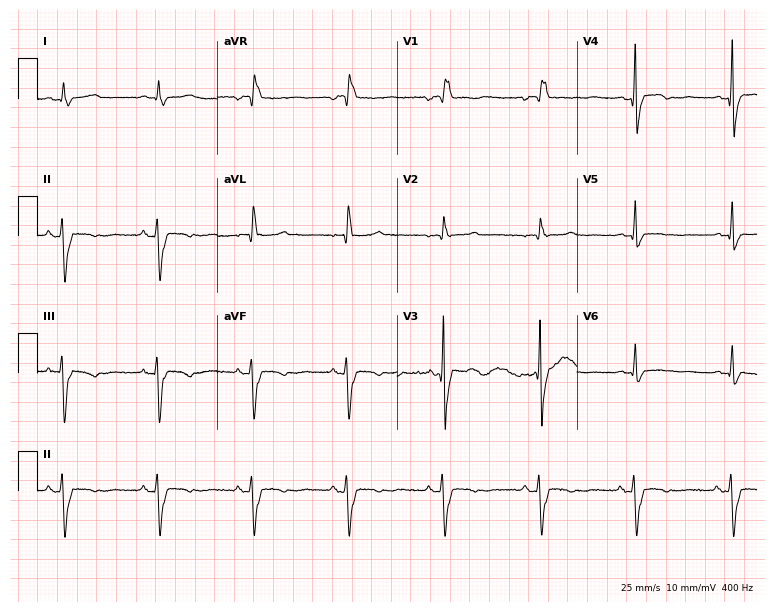
Resting 12-lead electrocardiogram (7.3-second recording at 400 Hz). Patient: a 69-year-old male. The tracing shows right bundle branch block.